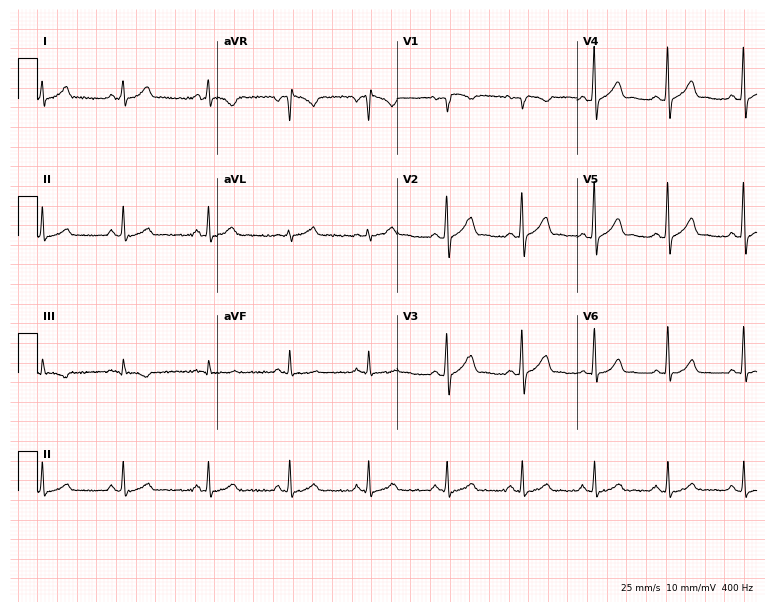
12-lead ECG from a male, 30 years old. Labelled as a normal ECG.